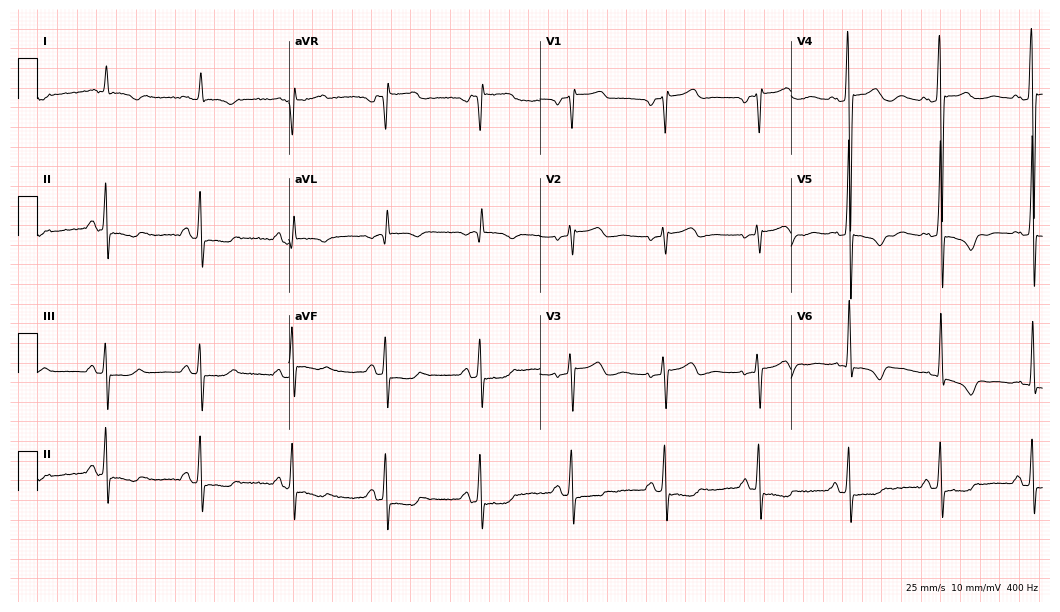
Standard 12-lead ECG recorded from an 81-year-old male (10.2-second recording at 400 Hz). None of these six findings is recorded: first-degree AV block, right bundle branch block, left bundle branch block, sinus bradycardia, atrial fibrillation, sinus tachycardia. Findings outside these six are not listed.